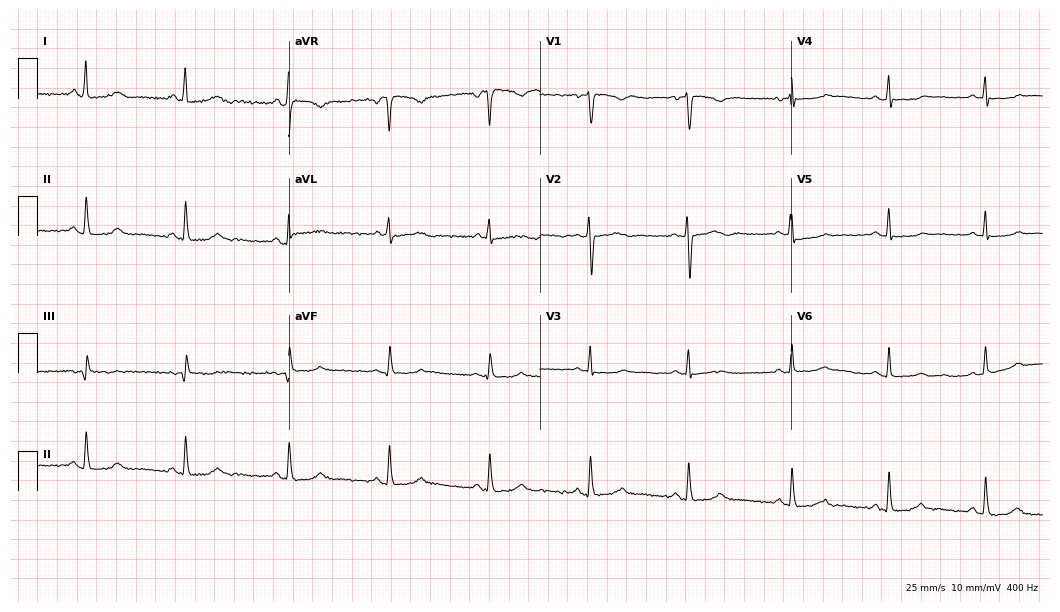
ECG (10.2-second recording at 400 Hz) — a woman, 23 years old. Screened for six findings — first-degree AV block, right bundle branch block, left bundle branch block, sinus bradycardia, atrial fibrillation, sinus tachycardia — none is recorded.